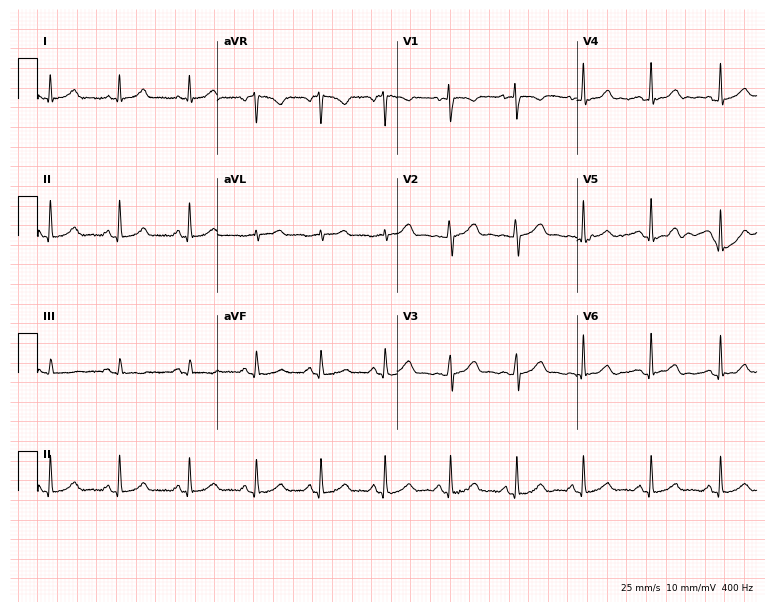
Resting 12-lead electrocardiogram. Patient: a 34-year-old woman. Read as a normal ECG.